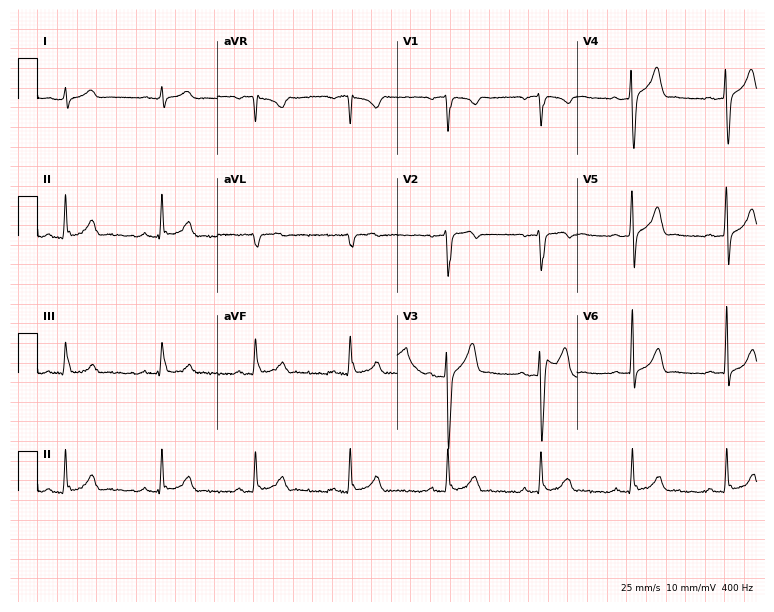
12-lead ECG (7.3-second recording at 400 Hz) from a 27-year-old male. Labelled as a normal ECG.